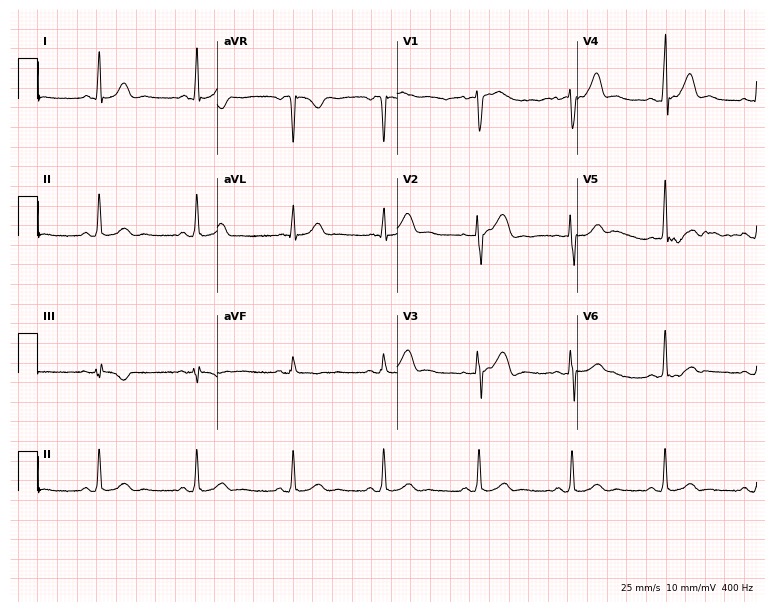
ECG (7.3-second recording at 400 Hz) — a 46-year-old female. Labelled as a normal ECG.